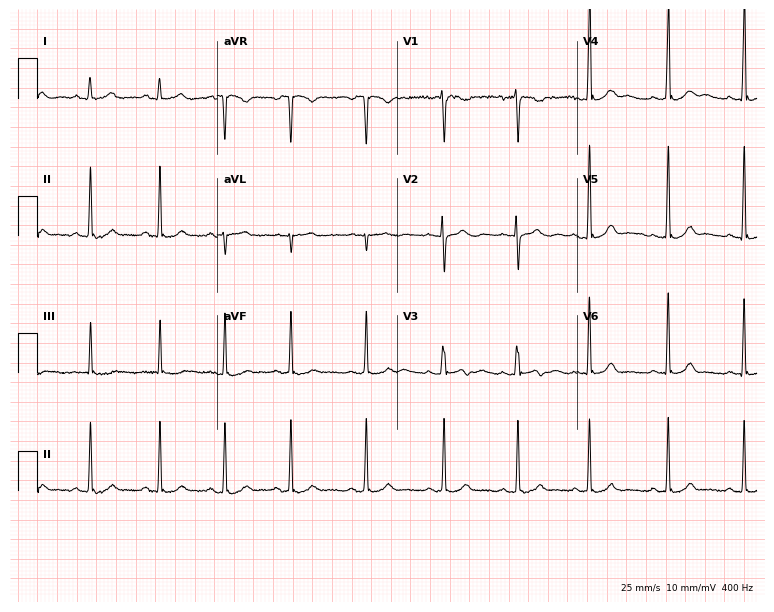
Resting 12-lead electrocardiogram (7.3-second recording at 400 Hz). Patient: a female, 18 years old. Read as a normal ECG.